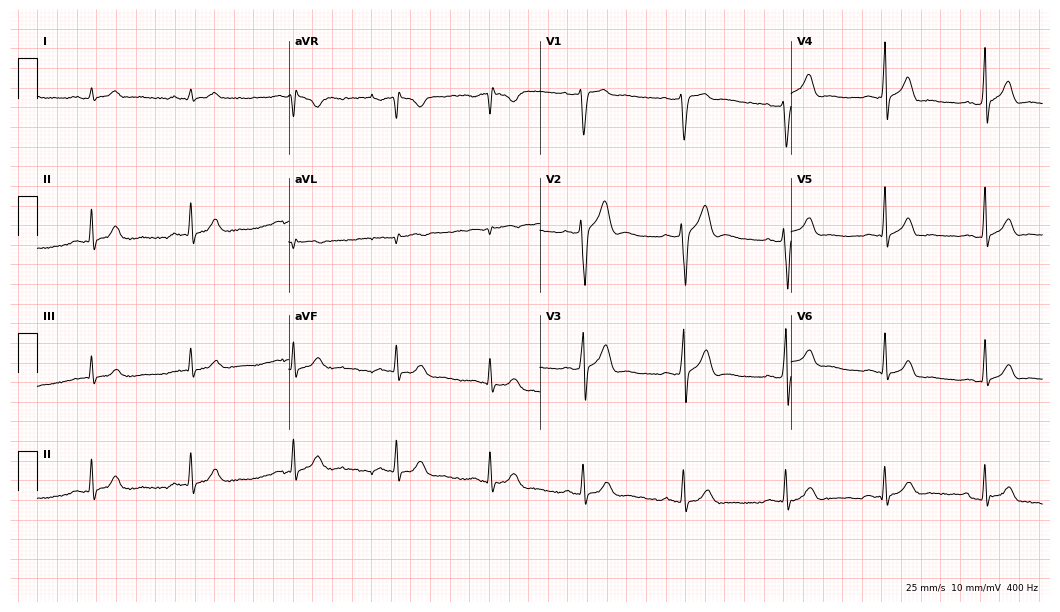
12-lead ECG from a male, 31 years old. Recorded interpretation: within normal limits.